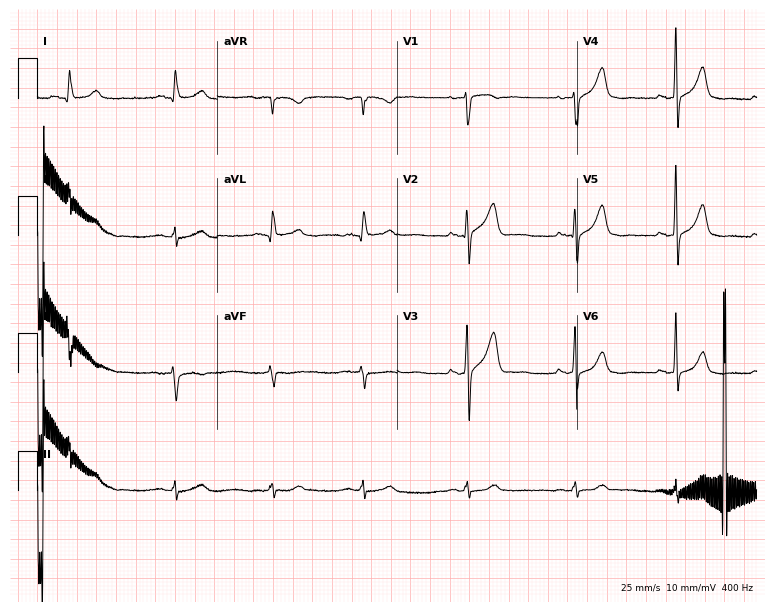
12-lead ECG from a 74-year-old man. No first-degree AV block, right bundle branch block, left bundle branch block, sinus bradycardia, atrial fibrillation or sinus tachycardia recorded for this tracing.